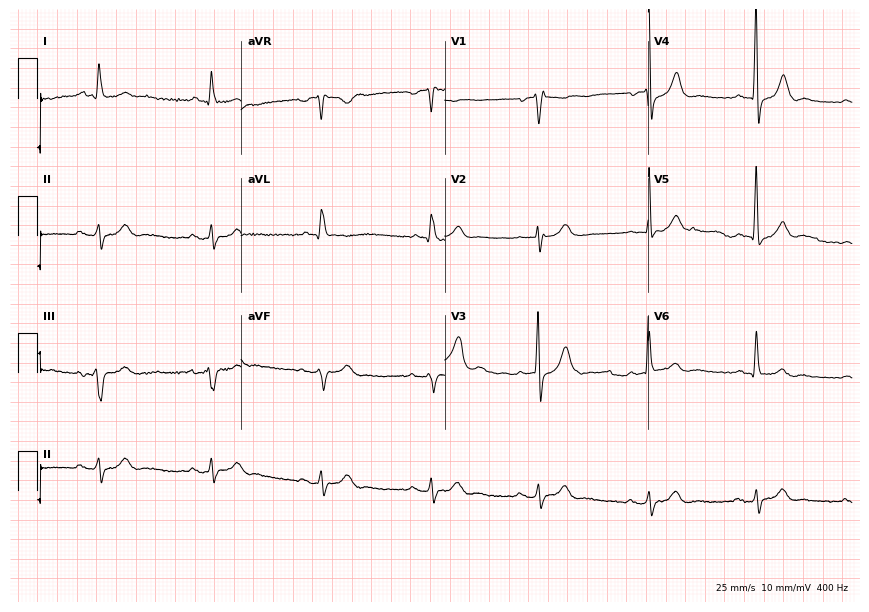
Resting 12-lead electrocardiogram (8.3-second recording at 400 Hz). Patient: a 65-year-old male. None of these six findings is recorded: first-degree AV block, right bundle branch block, left bundle branch block, sinus bradycardia, atrial fibrillation, sinus tachycardia.